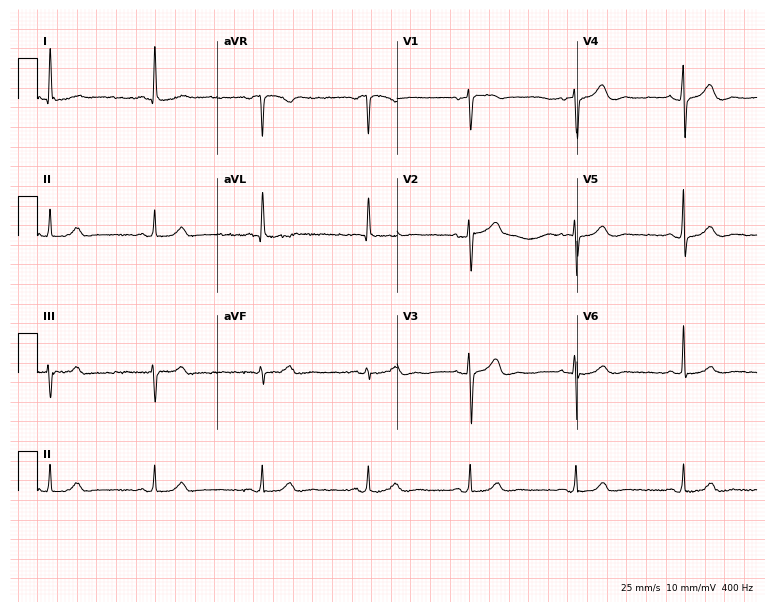
ECG — a female patient, 60 years old. Screened for six findings — first-degree AV block, right bundle branch block, left bundle branch block, sinus bradycardia, atrial fibrillation, sinus tachycardia — none is recorded. Only these six findings were labelled.